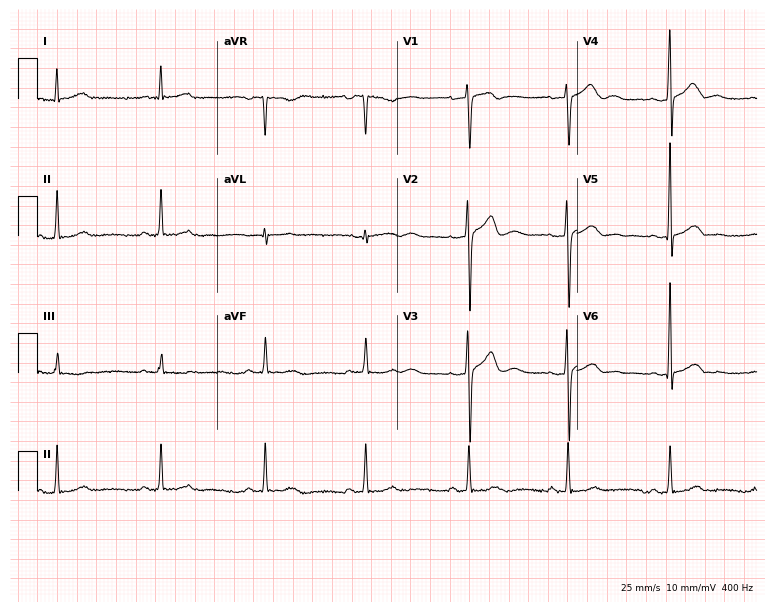
12-lead ECG (7.3-second recording at 400 Hz) from a 44-year-old man. Screened for six findings — first-degree AV block, right bundle branch block, left bundle branch block, sinus bradycardia, atrial fibrillation, sinus tachycardia — none is recorded. Findings outside these six are not listed.